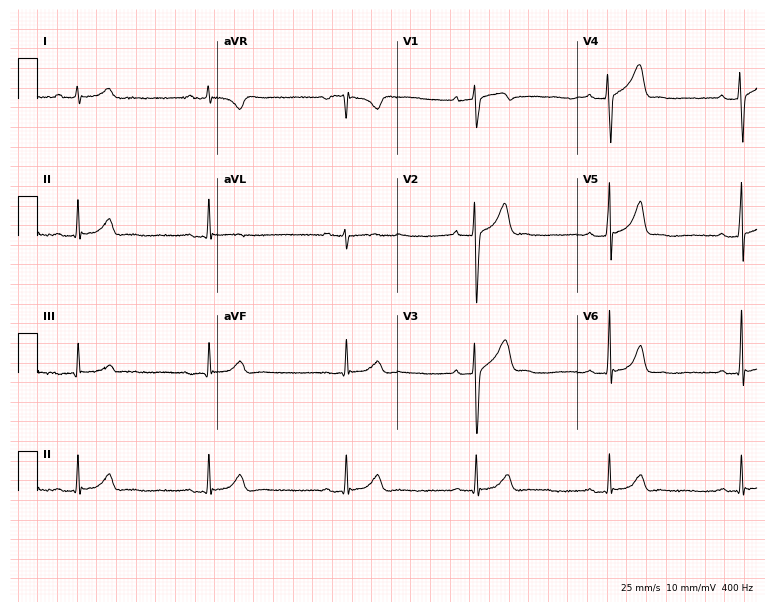
Standard 12-lead ECG recorded from a 39-year-old man. The tracing shows sinus bradycardia (a sinus rate of 50 beats per minute or less).